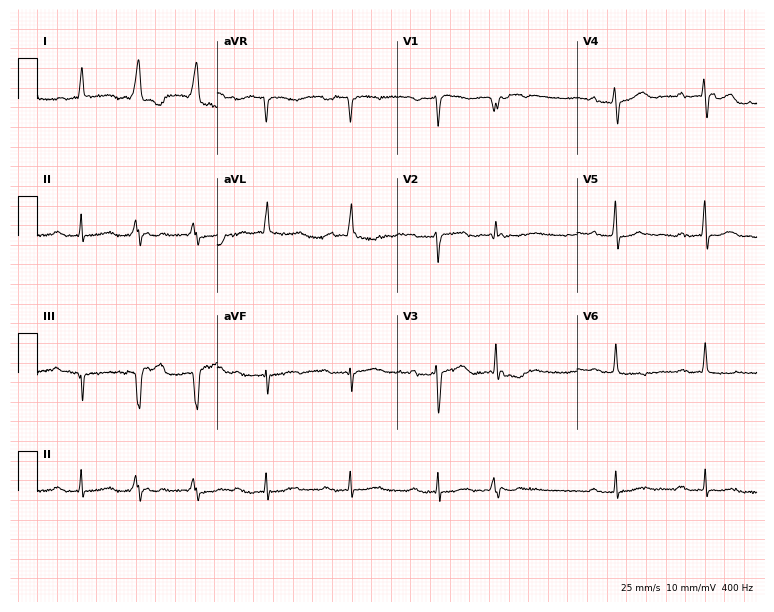
Electrocardiogram (7.3-second recording at 400 Hz), a male, 78 years old. Interpretation includes first-degree AV block.